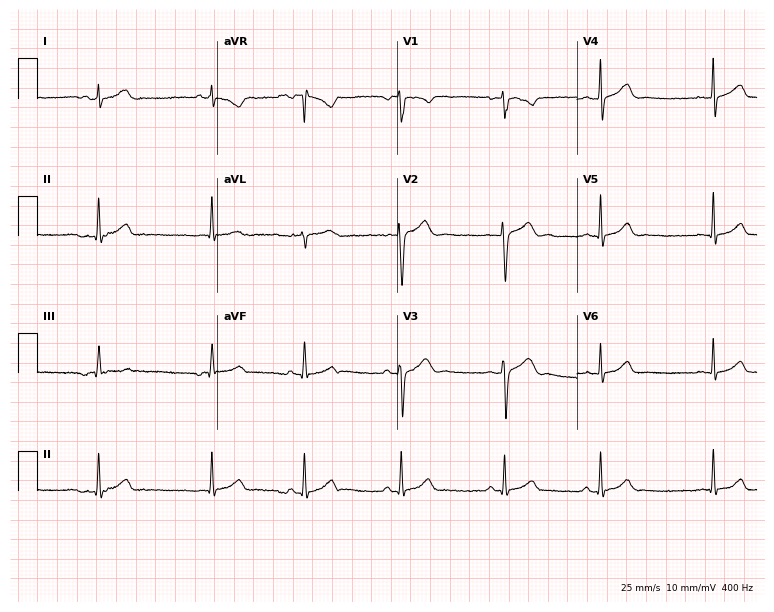
12-lead ECG from a male patient, 23 years old. Recorded interpretation: within normal limits.